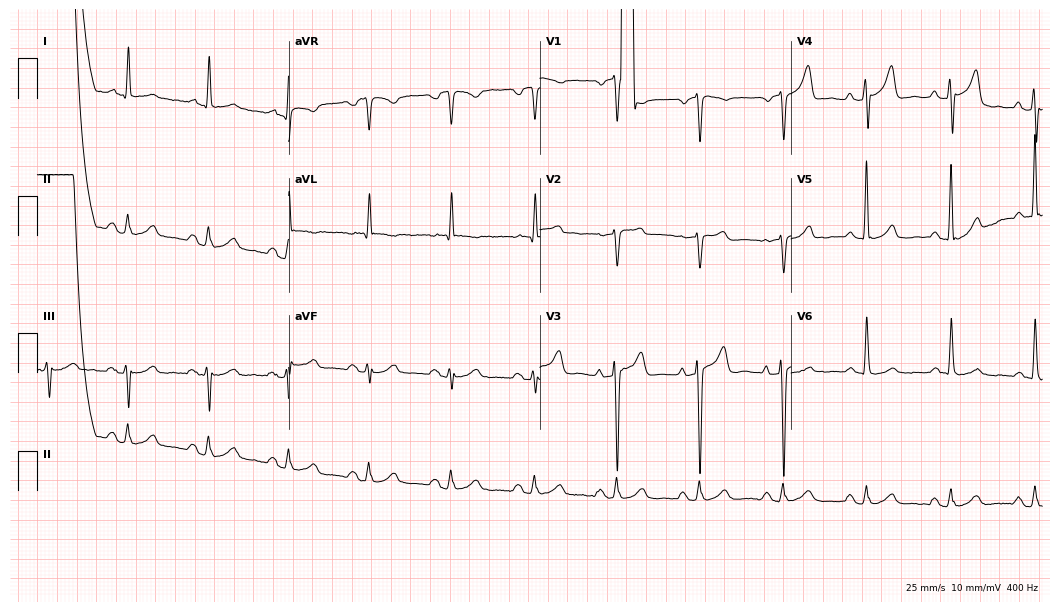
ECG — a 76-year-old male patient. Labelled as a normal ECG.